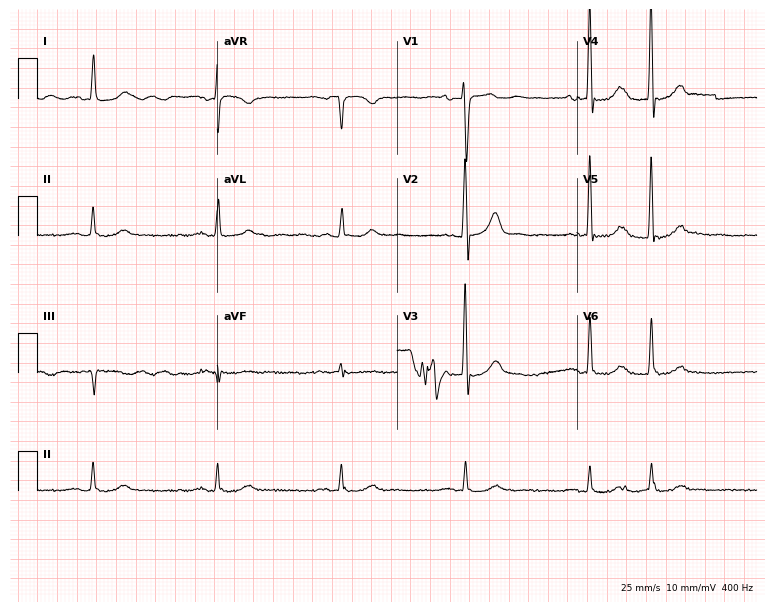
Standard 12-lead ECG recorded from a male patient, 81 years old. None of these six findings is recorded: first-degree AV block, right bundle branch block, left bundle branch block, sinus bradycardia, atrial fibrillation, sinus tachycardia. Findings outside these six are not listed.